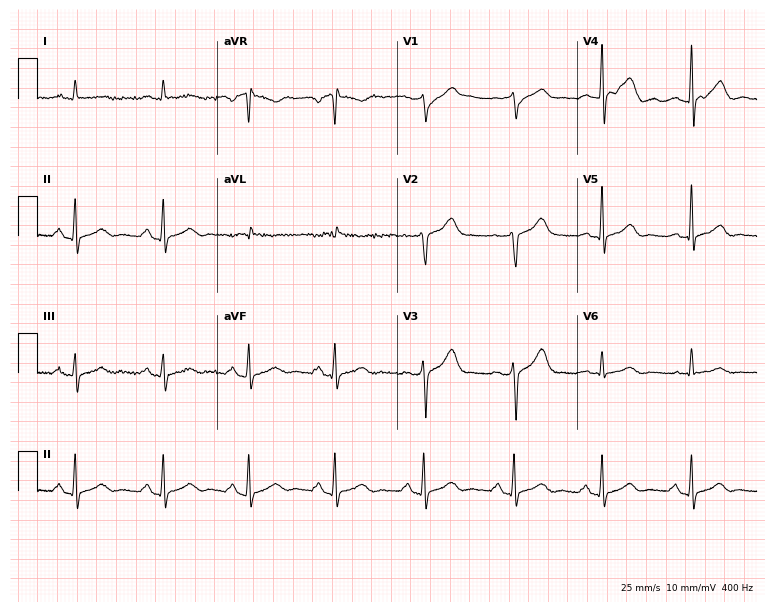
Standard 12-lead ECG recorded from a 62-year-old woman. None of these six findings is recorded: first-degree AV block, right bundle branch block (RBBB), left bundle branch block (LBBB), sinus bradycardia, atrial fibrillation (AF), sinus tachycardia.